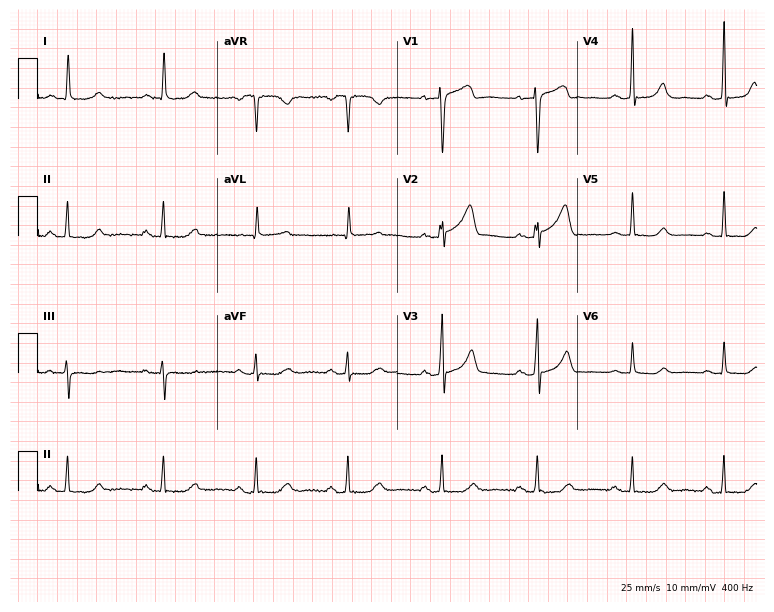
ECG (7.3-second recording at 400 Hz) — a female, 58 years old. Labelled as a normal ECG.